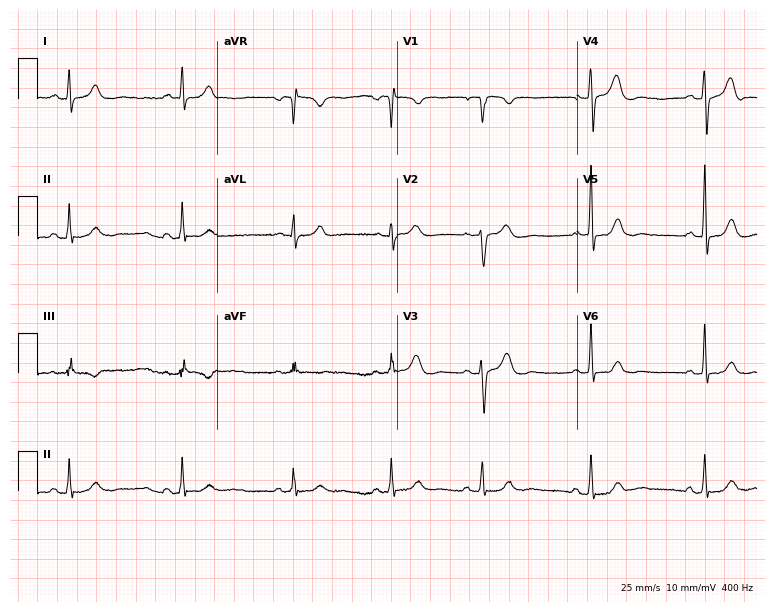
ECG (7.3-second recording at 400 Hz) — a 41-year-old woman. Screened for six findings — first-degree AV block, right bundle branch block, left bundle branch block, sinus bradycardia, atrial fibrillation, sinus tachycardia — none is recorded.